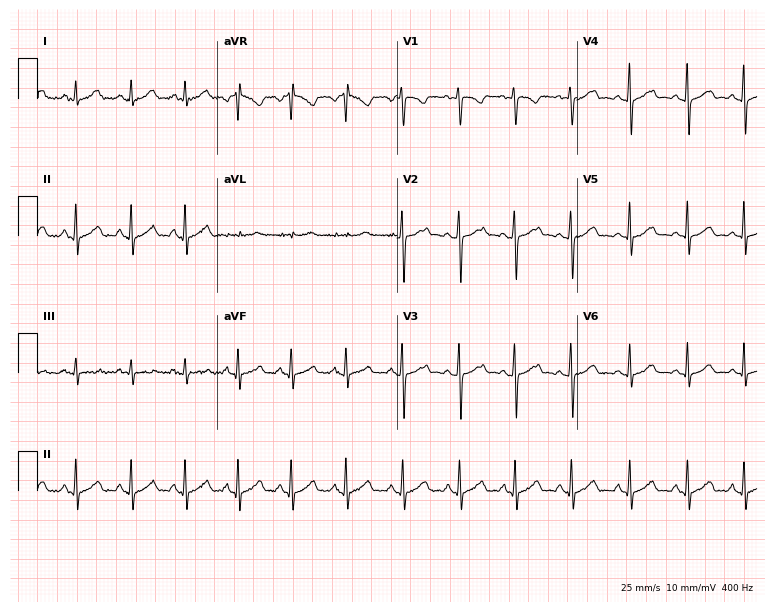
Standard 12-lead ECG recorded from a 24-year-old female (7.3-second recording at 400 Hz). The tracing shows sinus tachycardia (a sinus rate of 100 beats per minute or more).